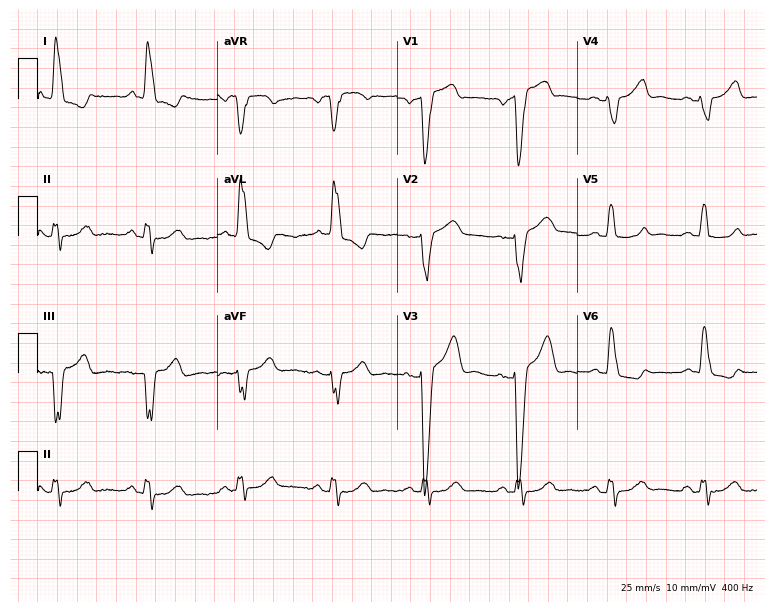
12-lead ECG (7.3-second recording at 400 Hz) from a 55-year-old female patient. Findings include left bundle branch block.